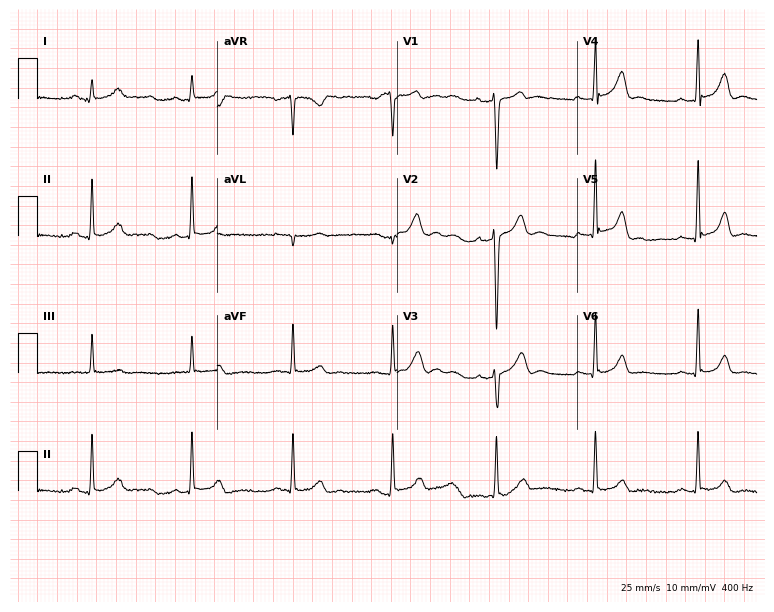
12-lead ECG from a male patient, 30 years old. No first-degree AV block, right bundle branch block (RBBB), left bundle branch block (LBBB), sinus bradycardia, atrial fibrillation (AF) or sinus tachycardia recorded for this tracing. Other findings, if any, are not listed.